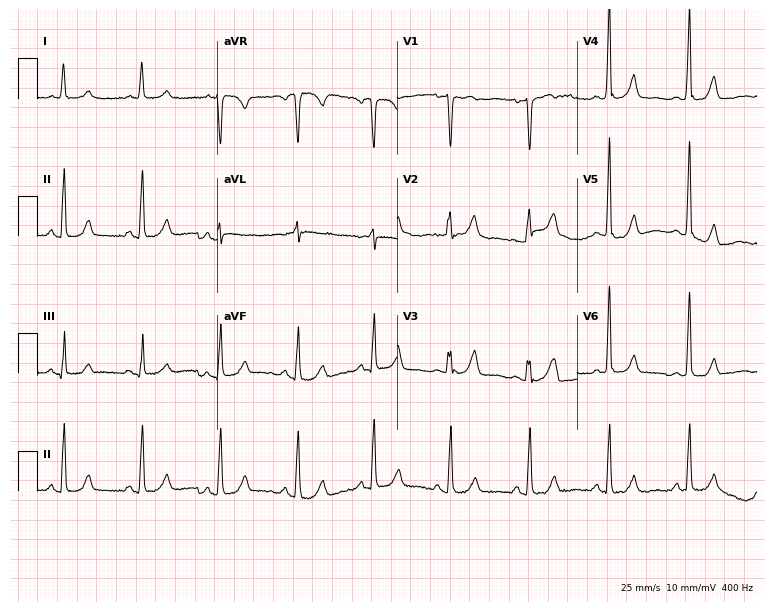
Standard 12-lead ECG recorded from a 52-year-old female patient (7.3-second recording at 400 Hz). Read as a normal ECG.